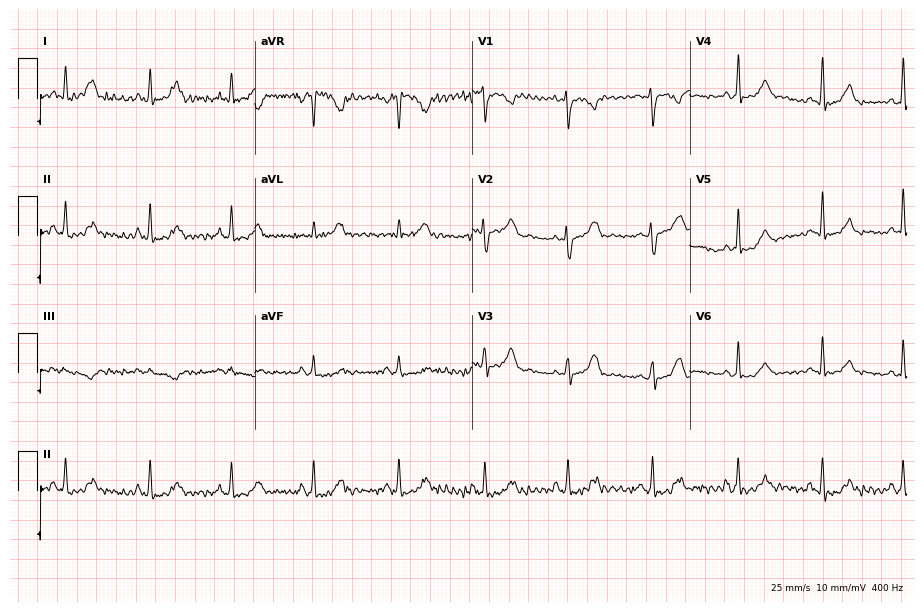
Standard 12-lead ECG recorded from a female, 36 years old. Read as a normal ECG.